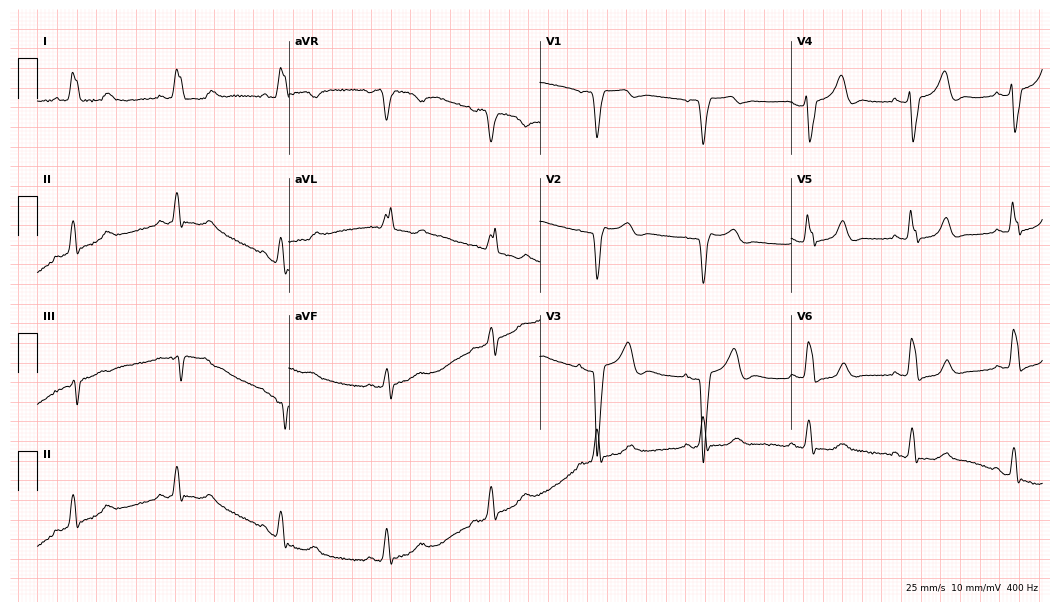
12-lead ECG (10.2-second recording at 400 Hz) from a 79-year-old woman. Screened for six findings — first-degree AV block, right bundle branch block, left bundle branch block, sinus bradycardia, atrial fibrillation, sinus tachycardia — none is recorded.